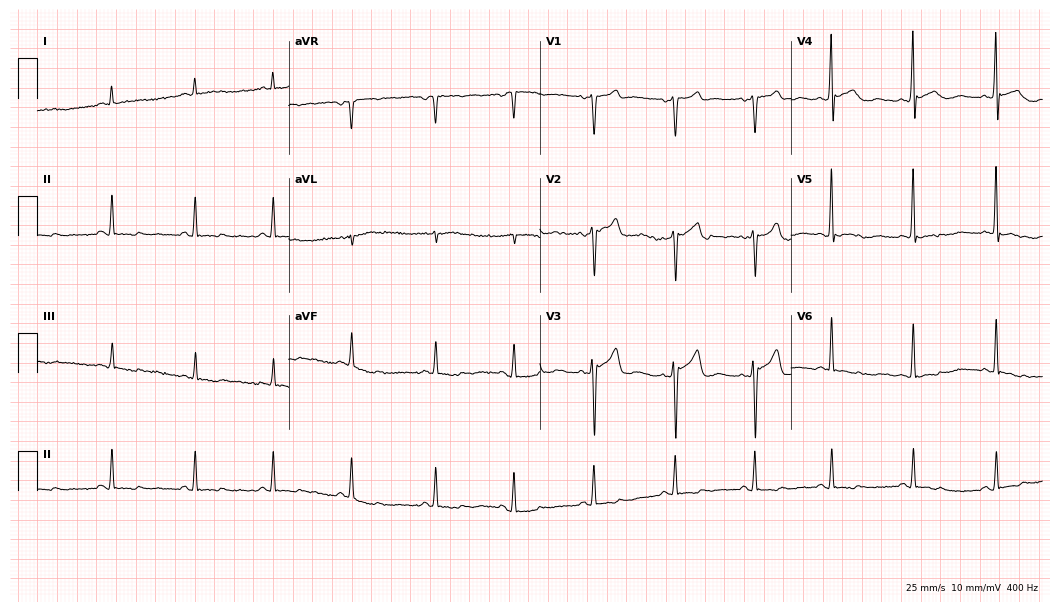
12-lead ECG from a 54-year-old man. Screened for six findings — first-degree AV block, right bundle branch block, left bundle branch block, sinus bradycardia, atrial fibrillation, sinus tachycardia — none is recorded.